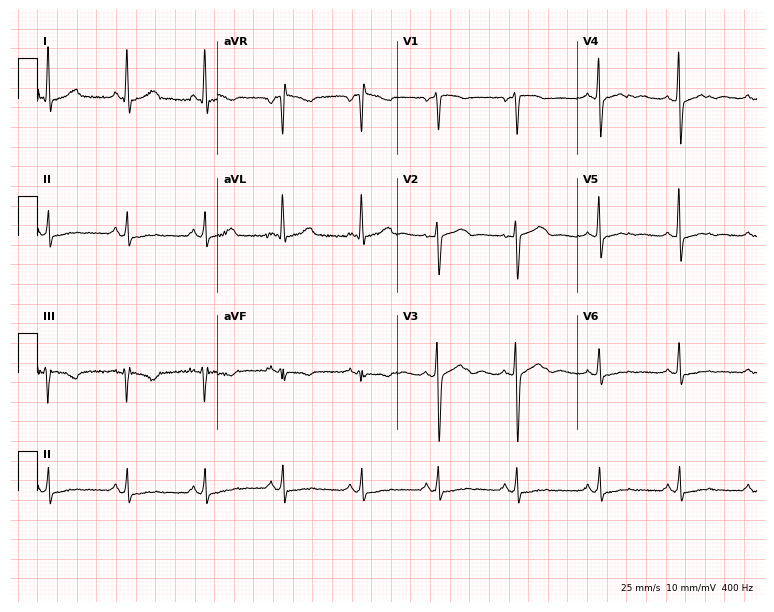
Standard 12-lead ECG recorded from a woman, 50 years old. None of these six findings is recorded: first-degree AV block, right bundle branch block, left bundle branch block, sinus bradycardia, atrial fibrillation, sinus tachycardia. Findings outside these six are not listed.